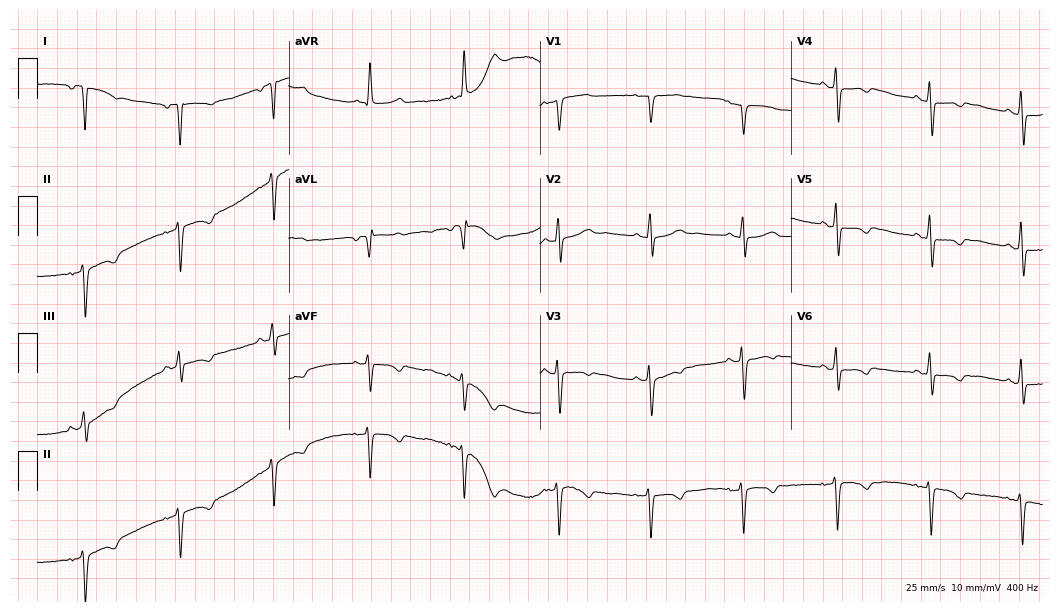
Resting 12-lead electrocardiogram. Patient: a 63-year-old female. None of these six findings is recorded: first-degree AV block, right bundle branch block (RBBB), left bundle branch block (LBBB), sinus bradycardia, atrial fibrillation (AF), sinus tachycardia. Other findings, if any, are not listed.